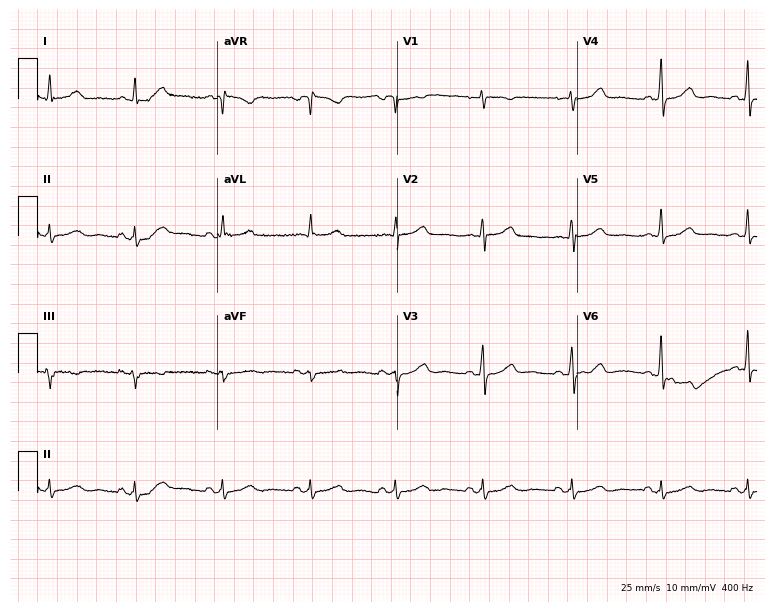
ECG — a 57-year-old woman. Labelled as a normal ECG.